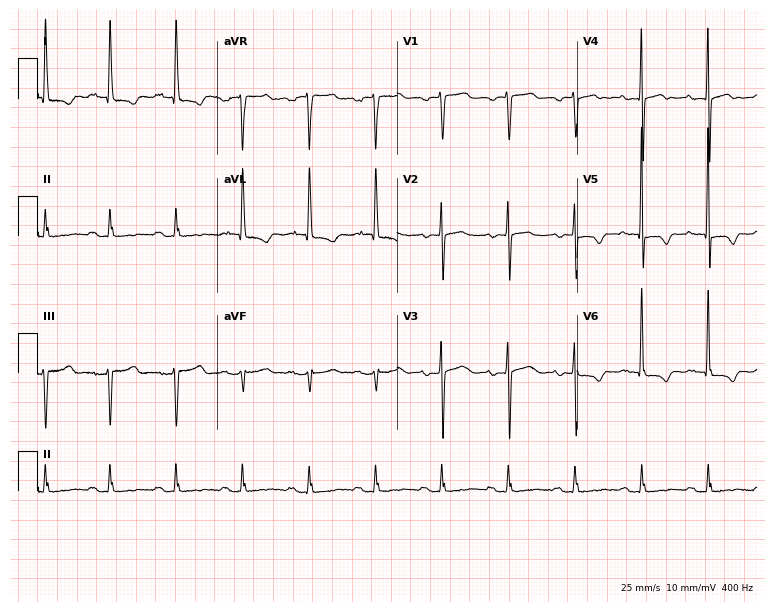
12-lead ECG (7.3-second recording at 400 Hz) from a 74-year-old woman. Screened for six findings — first-degree AV block, right bundle branch block, left bundle branch block, sinus bradycardia, atrial fibrillation, sinus tachycardia — none is recorded. Other findings, if any, are not listed.